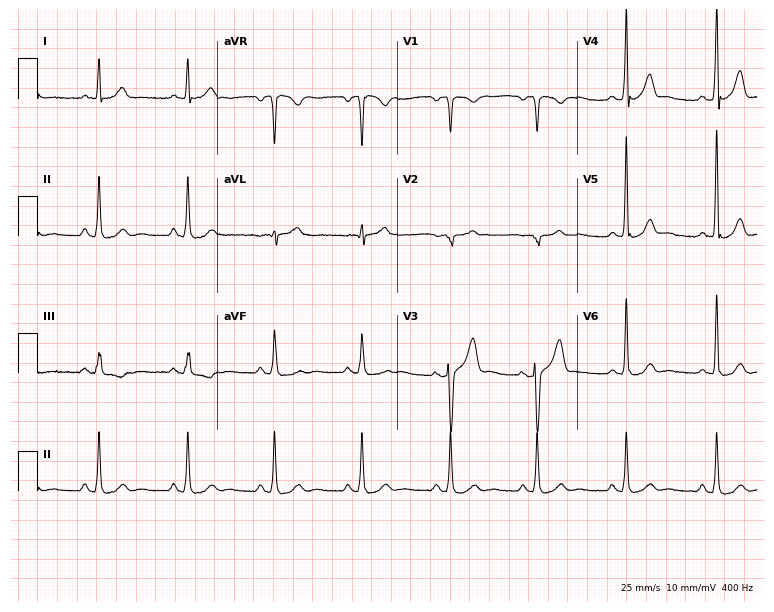
Resting 12-lead electrocardiogram (7.3-second recording at 400 Hz). Patient: a 47-year-old male. Read as a normal ECG.